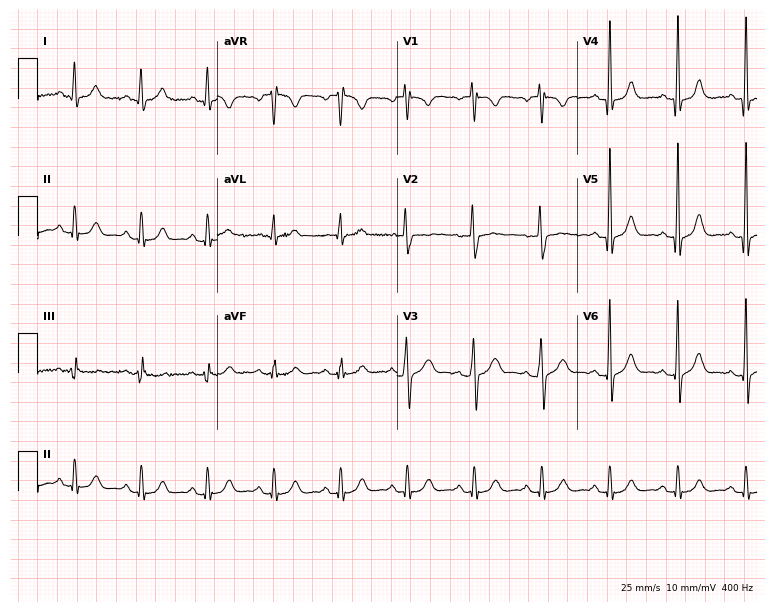
ECG — a male patient, 24 years old. Labelled as a normal ECG.